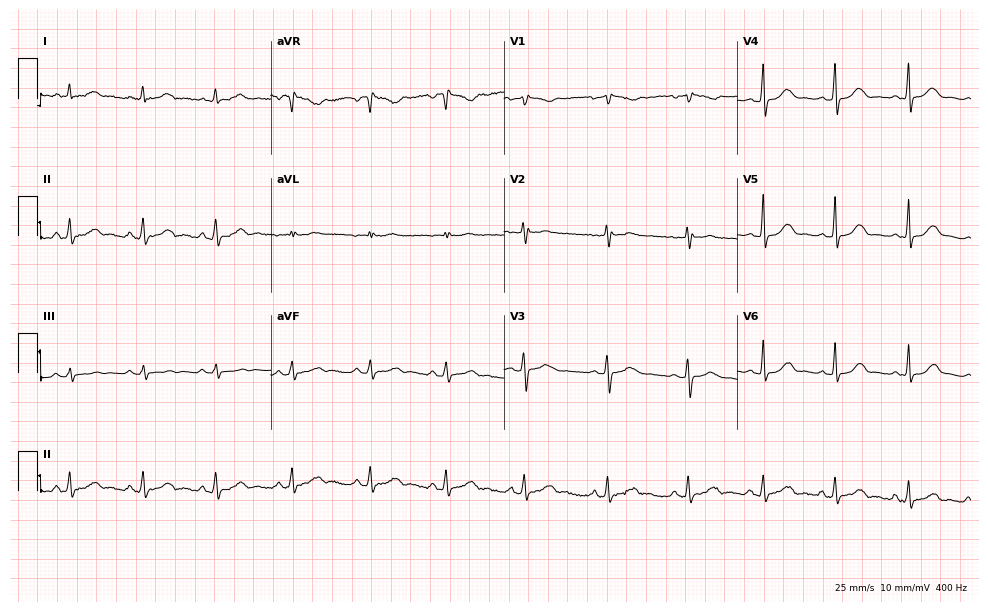
12-lead ECG from a female patient, 33 years old (9.5-second recording at 400 Hz). Recorded interpretation: within normal limits.